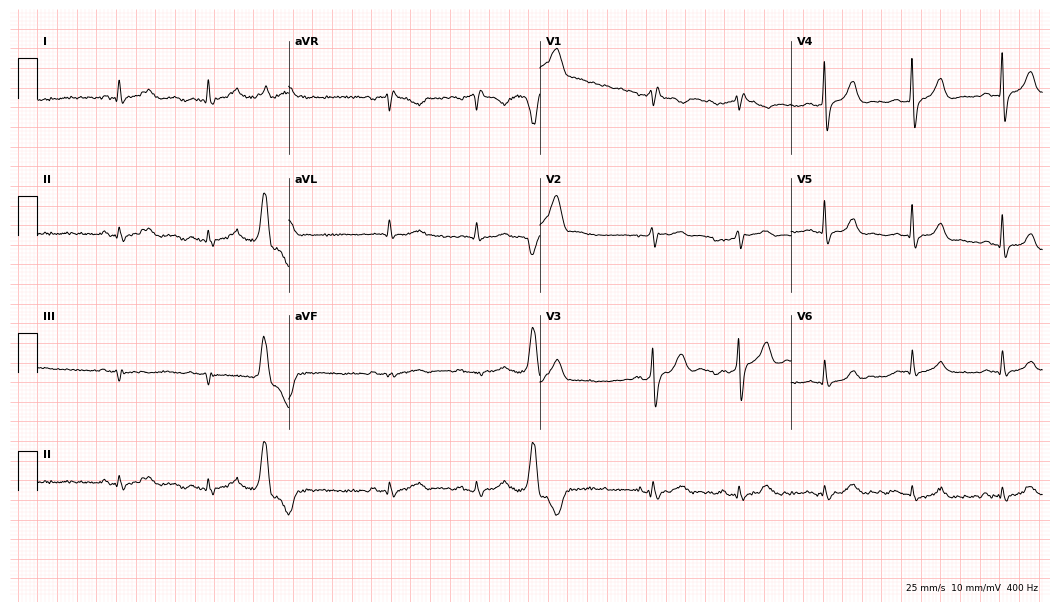
12-lead ECG from a 65-year-old male. Screened for six findings — first-degree AV block, right bundle branch block (RBBB), left bundle branch block (LBBB), sinus bradycardia, atrial fibrillation (AF), sinus tachycardia — none is recorded. Only these six findings were labelled.